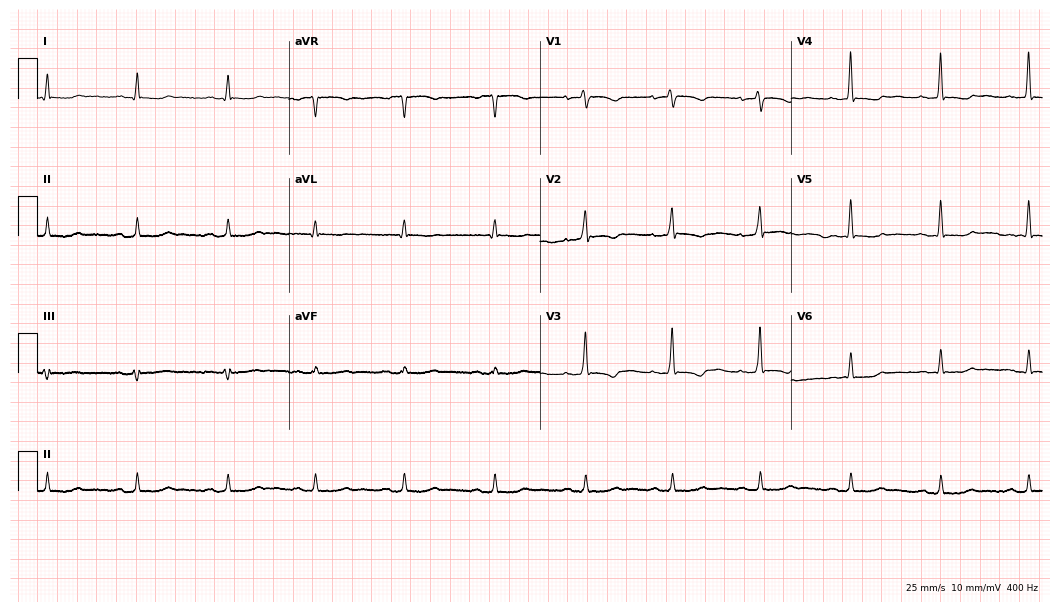
Standard 12-lead ECG recorded from a female patient, 44 years old. None of these six findings is recorded: first-degree AV block, right bundle branch block (RBBB), left bundle branch block (LBBB), sinus bradycardia, atrial fibrillation (AF), sinus tachycardia.